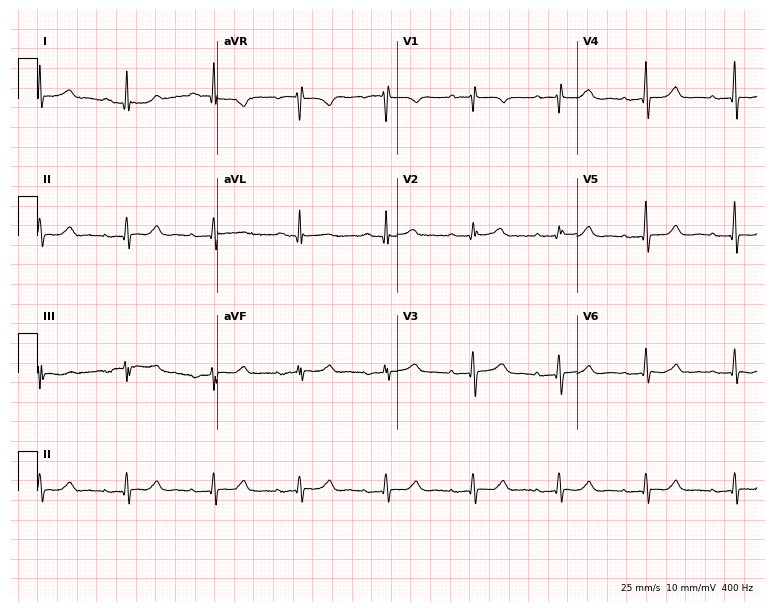
Resting 12-lead electrocardiogram. Patient: a female, 77 years old. The tracing shows first-degree AV block.